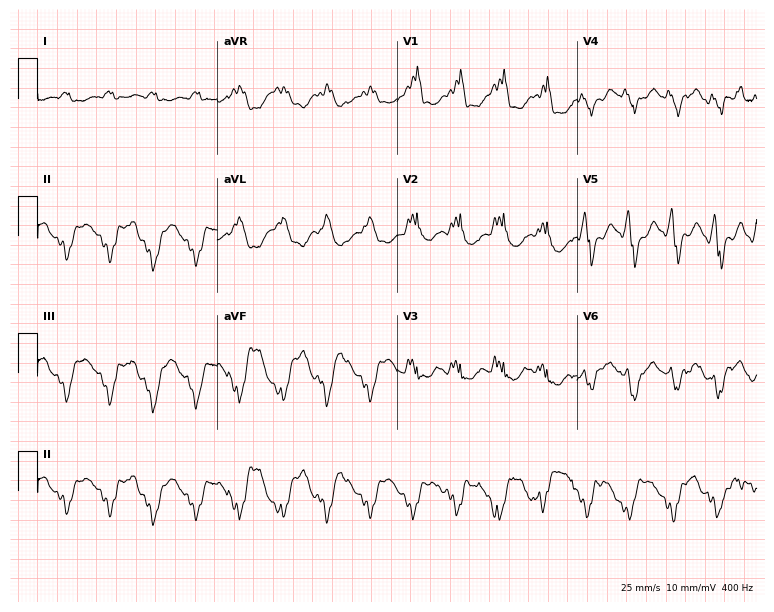
12-lead ECG from a male patient, 72 years old (7.3-second recording at 400 Hz). Shows right bundle branch block.